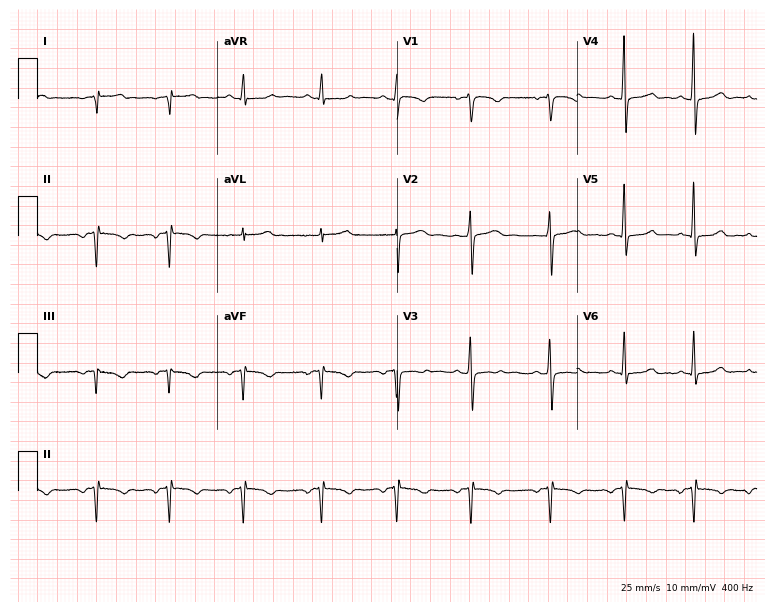
Standard 12-lead ECG recorded from a woman, 34 years old. None of these six findings is recorded: first-degree AV block, right bundle branch block (RBBB), left bundle branch block (LBBB), sinus bradycardia, atrial fibrillation (AF), sinus tachycardia. Other findings, if any, are not listed.